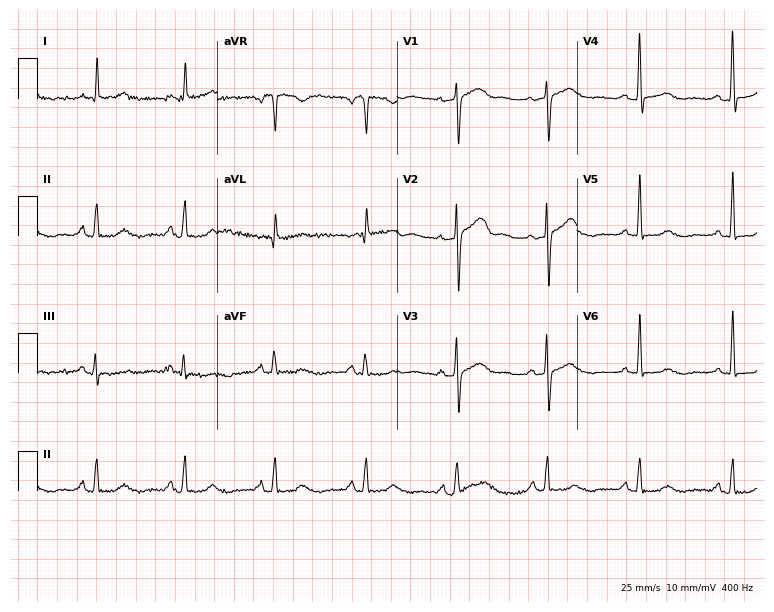
Standard 12-lead ECG recorded from a female, 81 years old (7.3-second recording at 400 Hz). None of these six findings is recorded: first-degree AV block, right bundle branch block, left bundle branch block, sinus bradycardia, atrial fibrillation, sinus tachycardia. Other findings, if any, are not listed.